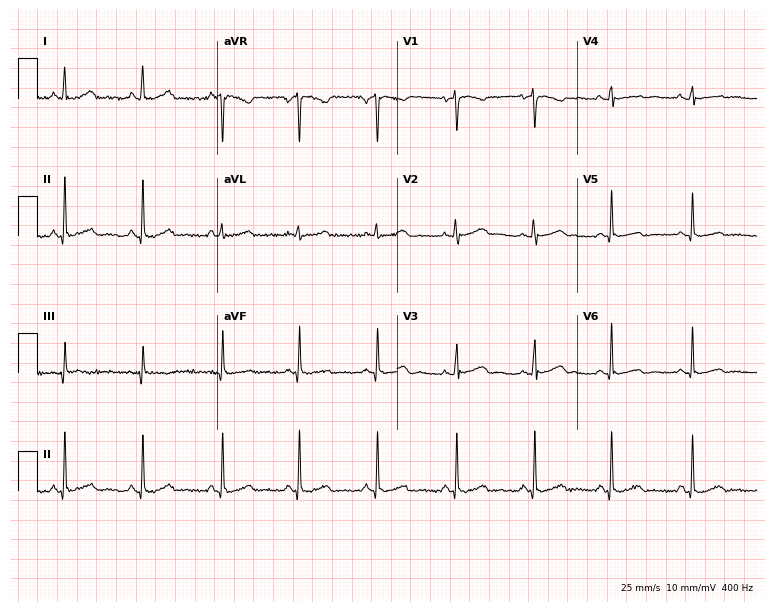
Electrocardiogram, a female patient, 37 years old. Of the six screened findings (first-degree AV block, right bundle branch block, left bundle branch block, sinus bradycardia, atrial fibrillation, sinus tachycardia), none is recorded. Only these six findings were labelled.